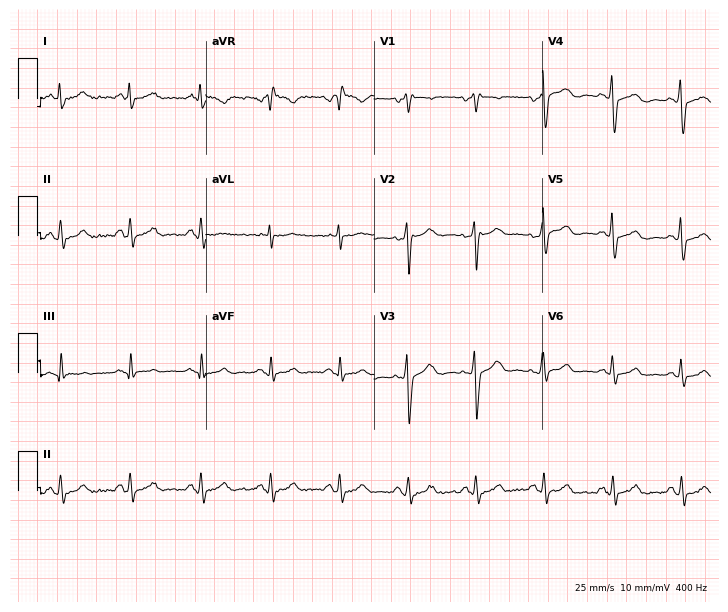
Standard 12-lead ECG recorded from a 51-year-old female patient. None of these six findings is recorded: first-degree AV block, right bundle branch block (RBBB), left bundle branch block (LBBB), sinus bradycardia, atrial fibrillation (AF), sinus tachycardia. Other findings, if any, are not listed.